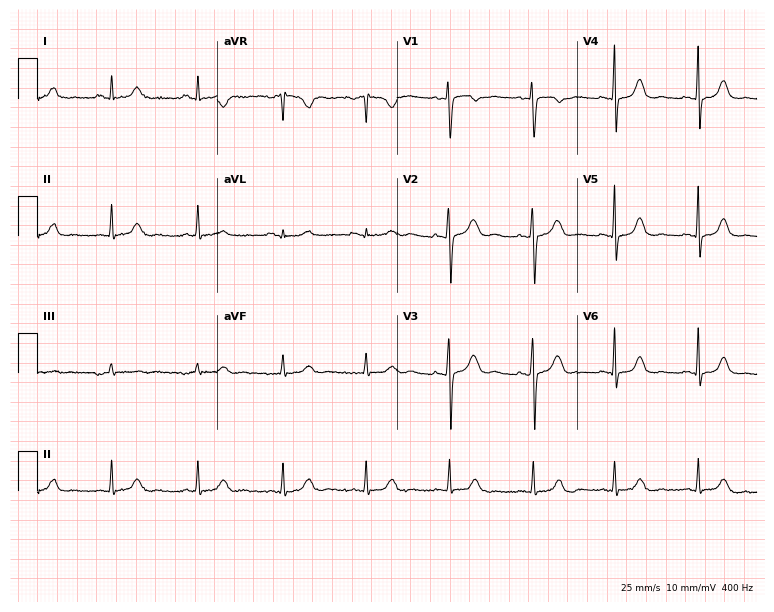
Resting 12-lead electrocardiogram. Patient: a female, 34 years old. None of these six findings is recorded: first-degree AV block, right bundle branch block, left bundle branch block, sinus bradycardia, atrial fibrillation, sinus tachycardia. Only these six findings were labelled.